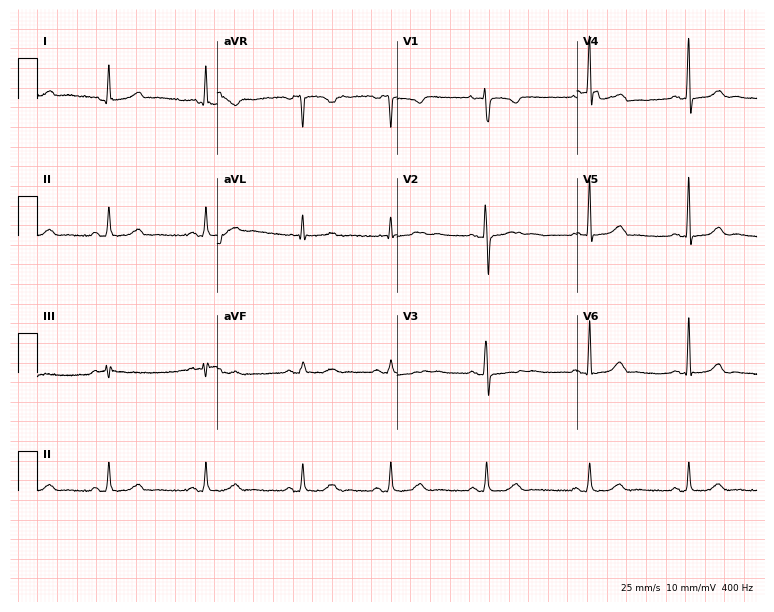
Resting 12-lead electrocardiogram. Patient: a woman, 39 years old. None of these six findings is recorded: first-degree AV block, right bundle branch block (RBBB), left bundle branch block (LBBB), sinus bradycardia, atrial fibrillation (AF), sinus tachycardia. Only these six findings were labelled.